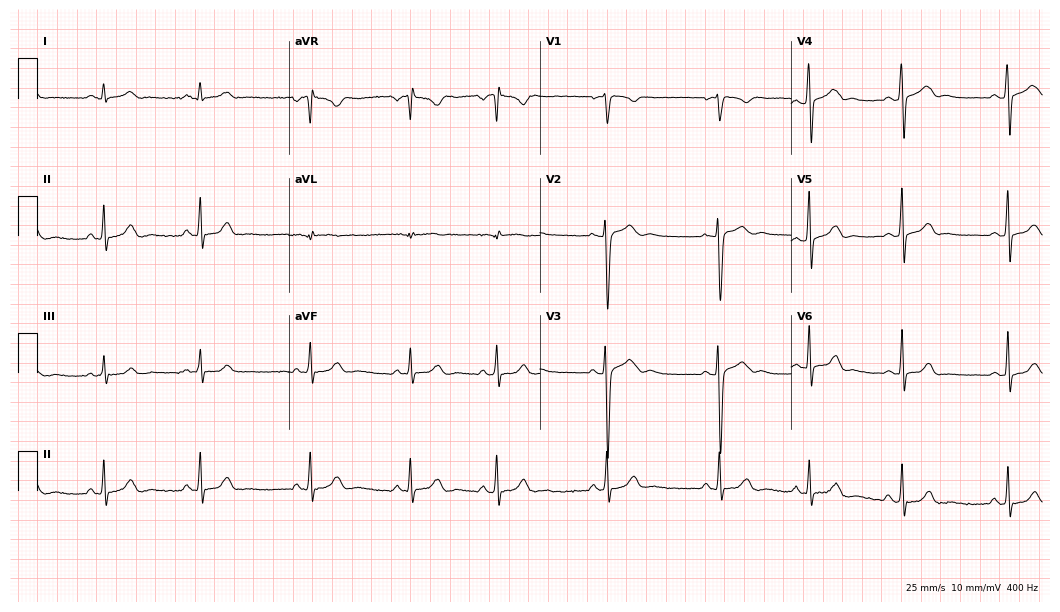
Electrocardiogram (10.2-second recording at 400 Hz), a female patient, 17 years old. Overall reading on record: normal ECG.